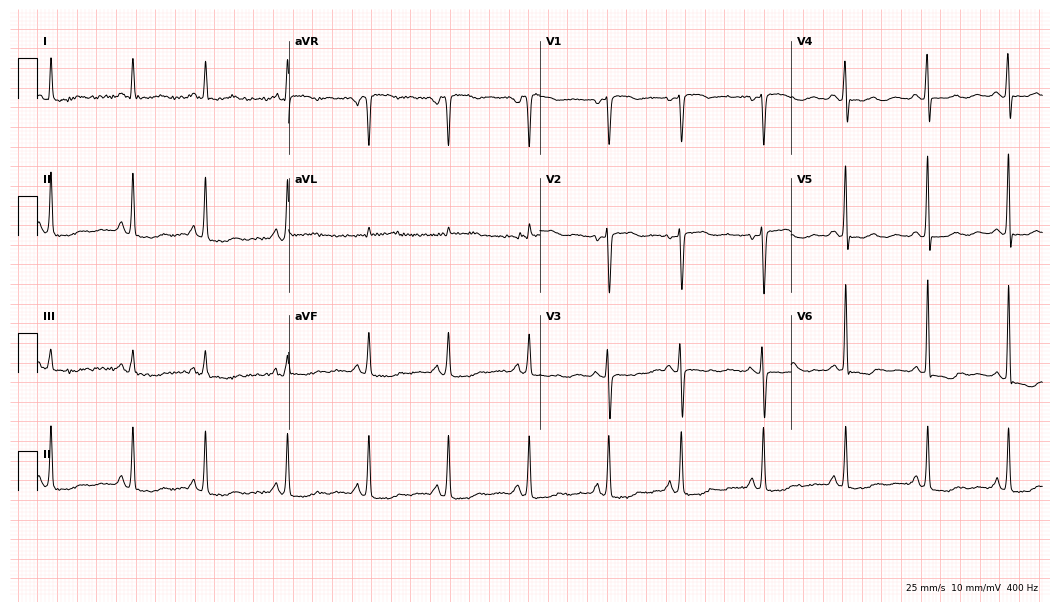
Standard 12-lead ECG recorded from a 51-year-old female (10.2-second recording at 400 Hz). None of these six findings is recorded: first-degree AV block, right bundle branch block, left bundle branch block, sinus bradycardia, atrial fibrillation, sinus tachycardia.